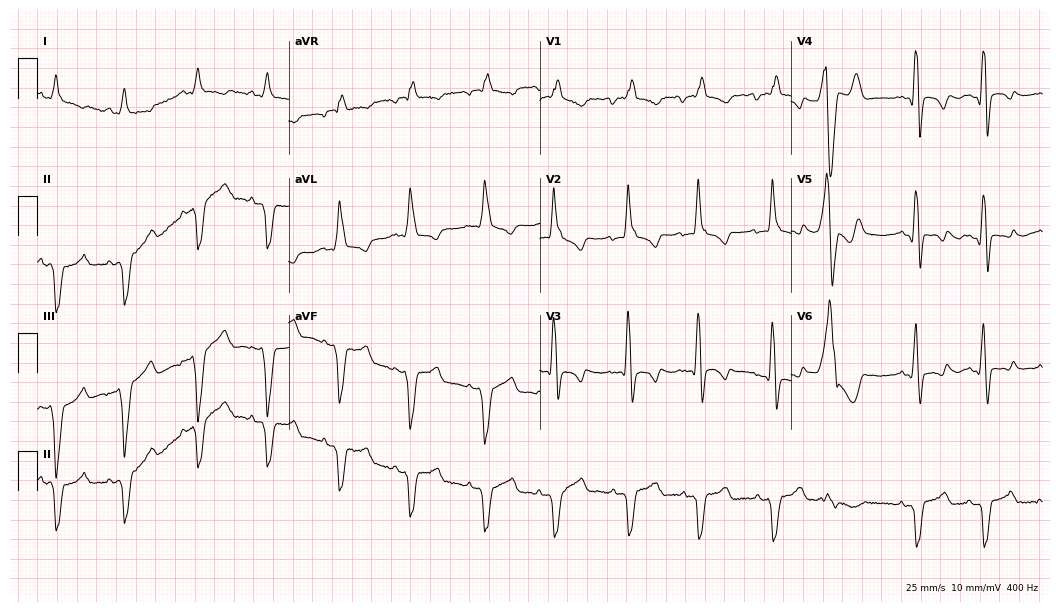
12-lead ECG (10.2-second recording at 400 Hz) from a male, 38 years old. Findings include right bundle branch block.